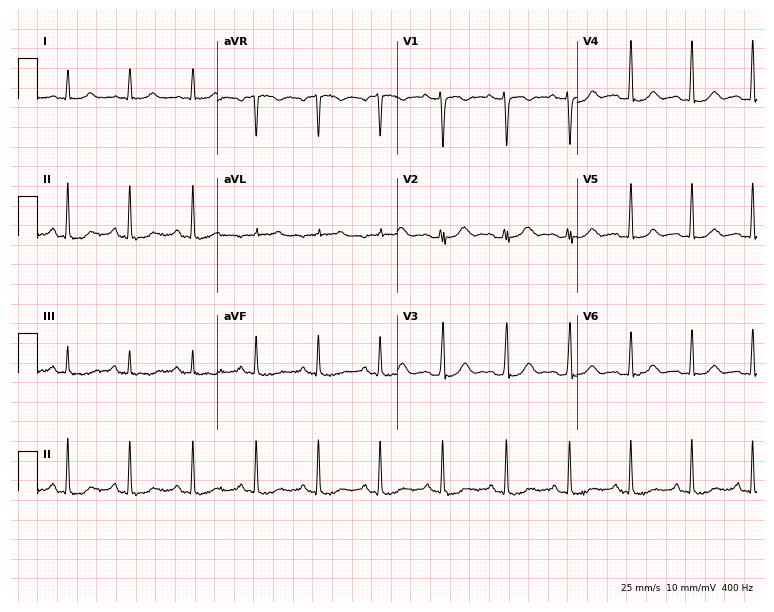
Standard 12-lead ECG recorded from a female patient, 41 years old. None of these six findings is recorded: first-degree AV block, right bundle branch block, left bundle branch block, sinus bradycardia, atrial fibrillation, sinus tachycardia.